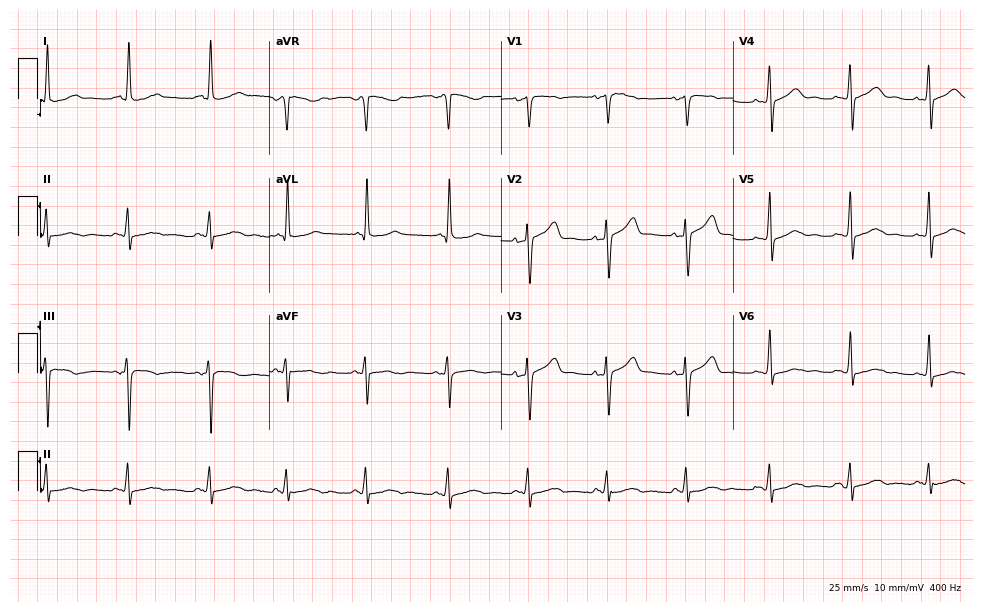
Standard 12-lead ECG recorded from a 54-year-old female (9.5-second recording at 400 Hz). None of these six findings is recorded: first-degree AV block, right bundle branch block, left bundle branch block, sinus bradycardia, atrial fibrillation, sinus tachycardia. Other findings, if any, are not listed.